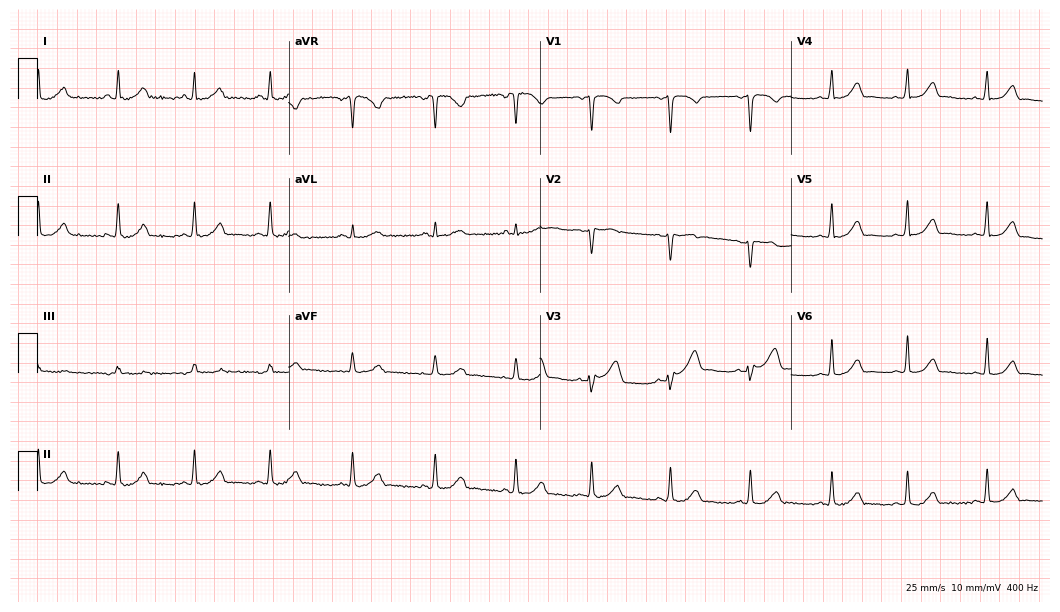
Electrocardiogram (10.2-second recording at 400 Hz), a 42-year-old female patient. Of the six screened findings (first-degree AV block, right bundle branch block (RBBB), left bundle branch block (LBBB), sinus bradycardia, atrial fibrillation (AF), sinus tachycardia), none is recorded.